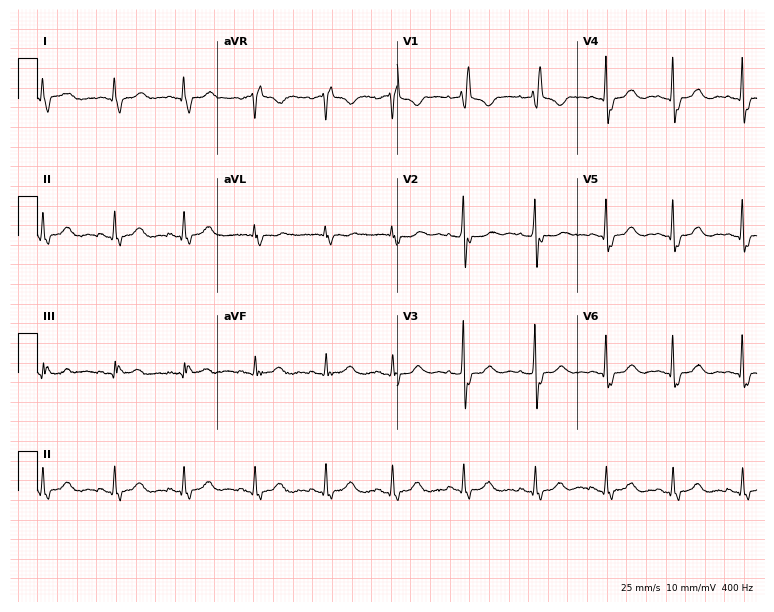
ECG — a 79-year-old female patient. Findings include right bundle branch block.